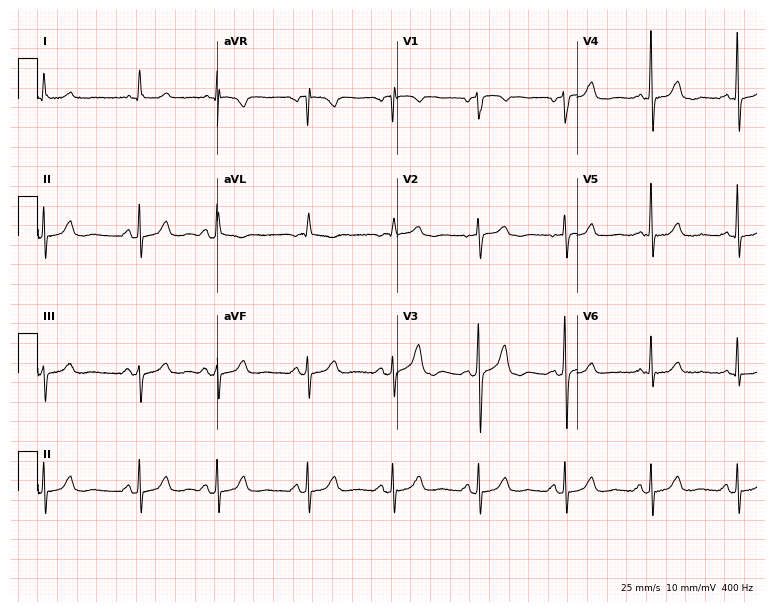
12-lead ECG from an 83-year-old male (7.3-second recording at 400 Hz). Recorded interpretation: within normal limits.